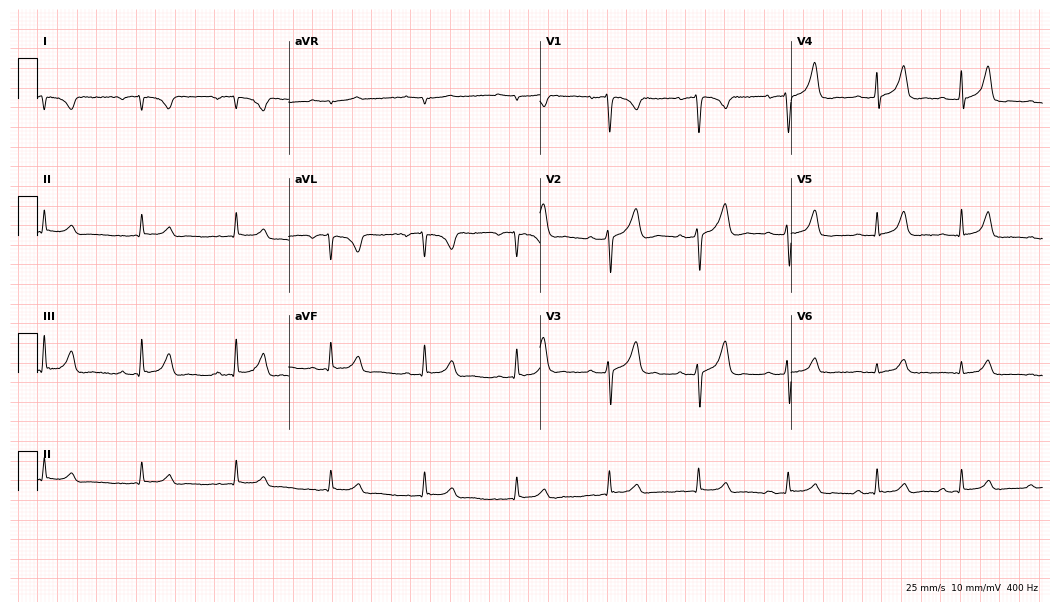
Resting 12-lead electrocardiogram. Patient: a male, 45 years old. None of these six findings is recorded: first-degree AV block, right bundle branch block, left bundle branch block, sinus bradycardia, atrial fibrillation, sinus tachycardia. Other findings, if any, are not listed.